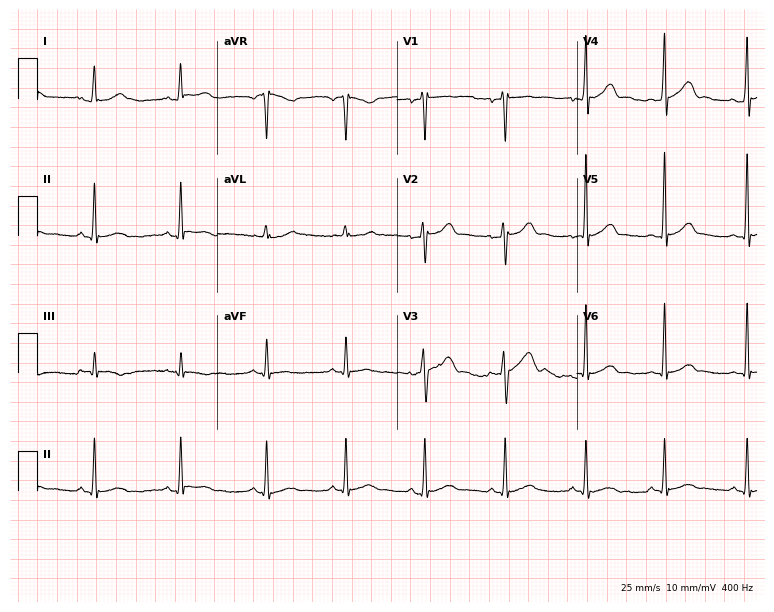
Resting 12-lead electrocardiogram. Patient: a 22-year-old woman. Read as a normal ECG.